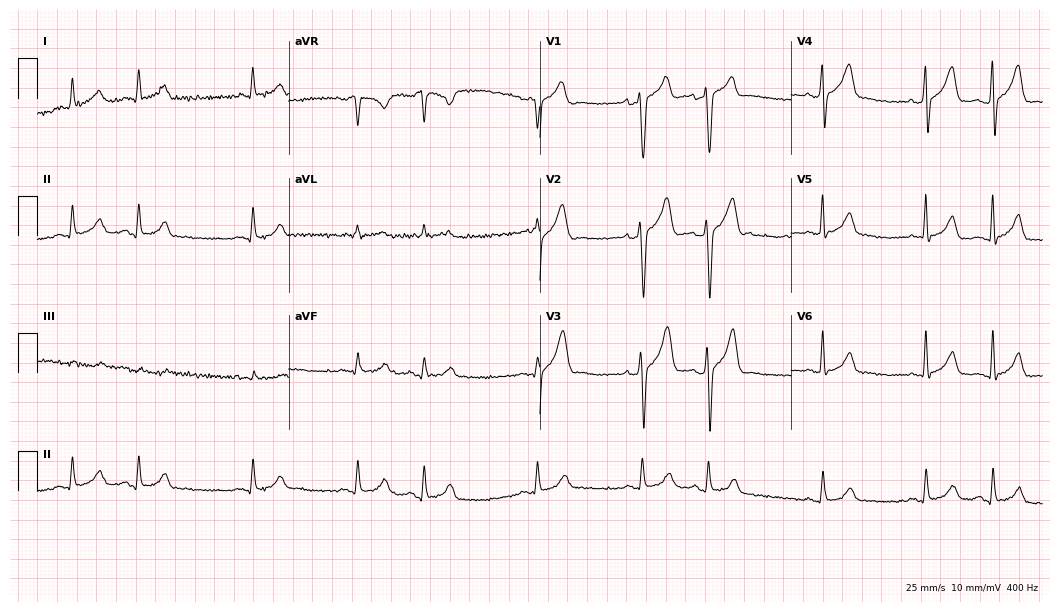
Electrocardiogram, a 68-year-old man. Of the six screened findings (first-degree AV block, right bundle branch block (RBBB), left bundle branch block (LBBB), sinus bradycardia, atrial fibrillation (AF), sinus tachycardia), none is recorded.